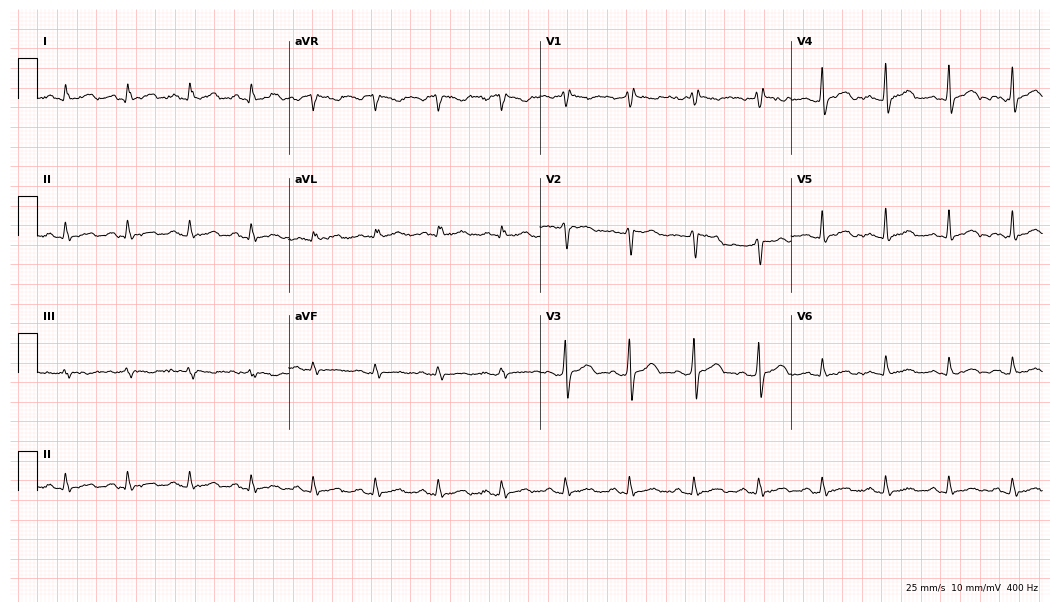
12-lead ECG from a man, 52 years old (10.2-second recording at 400 Hz). No first-degree AV block, right bundle branch block (RBBB), left bundle branch block (LBBB), sinus bradycardia, atrial fibrillation (AF) or sinus tachycardia recorded for this tracing.